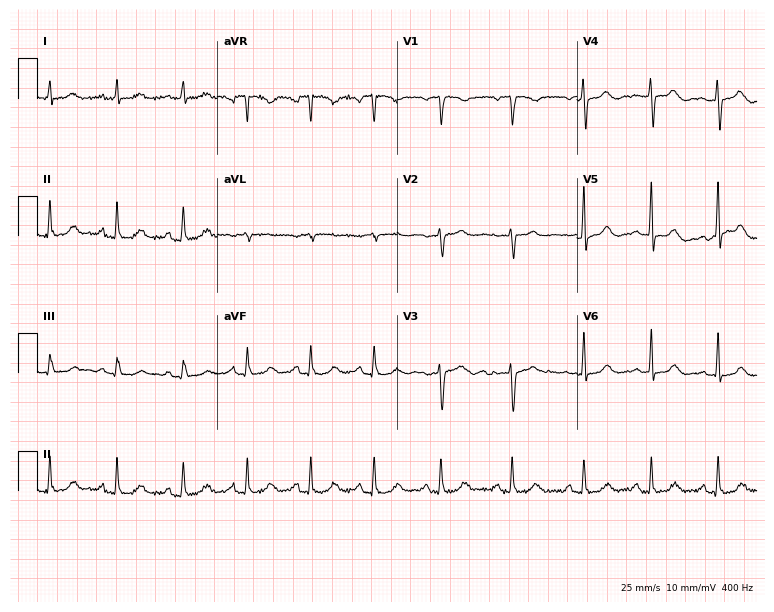
Electrocardiogram, a woman, 45 years old. Overall reading on record: normal ECG.